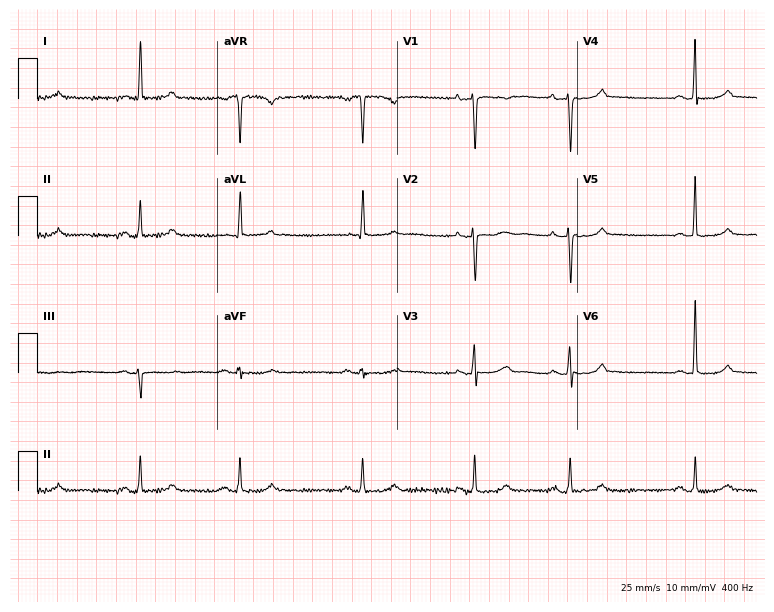
ECG — a 67-year-old woman. Screened for six findings — first-degree AV block, right bundle branch block (RBBB), left bundle branch block (LBBB), sinus bradycardia, atrial fibrillation (AF), sinus tachycardia — none is recorded. Other findings, if any, are not listed.